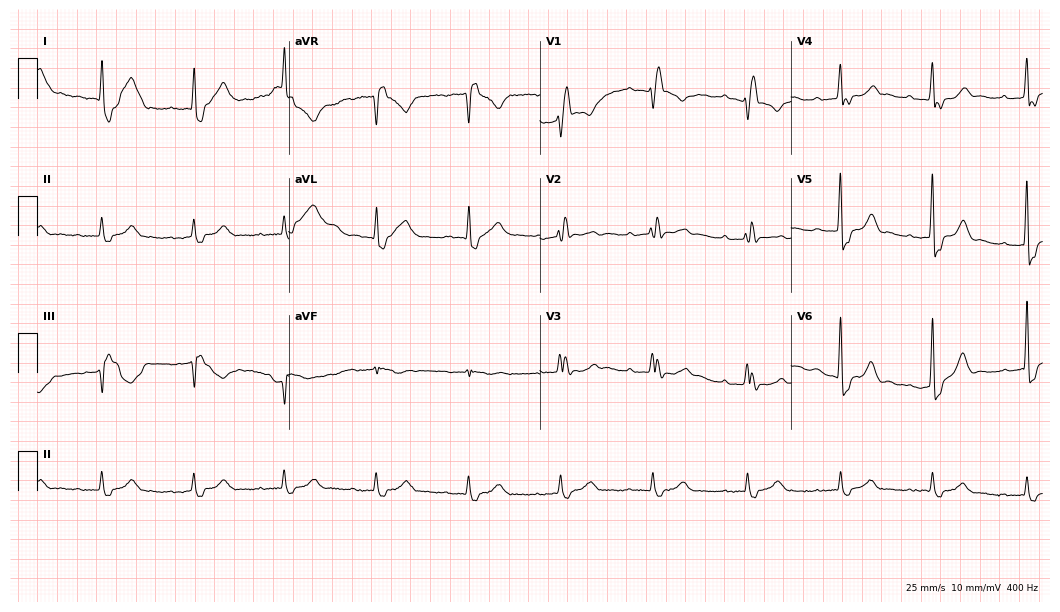
12-lead ECG from a male patient, 62 years old. Findings include first-degree AV block, right bundle branch block.